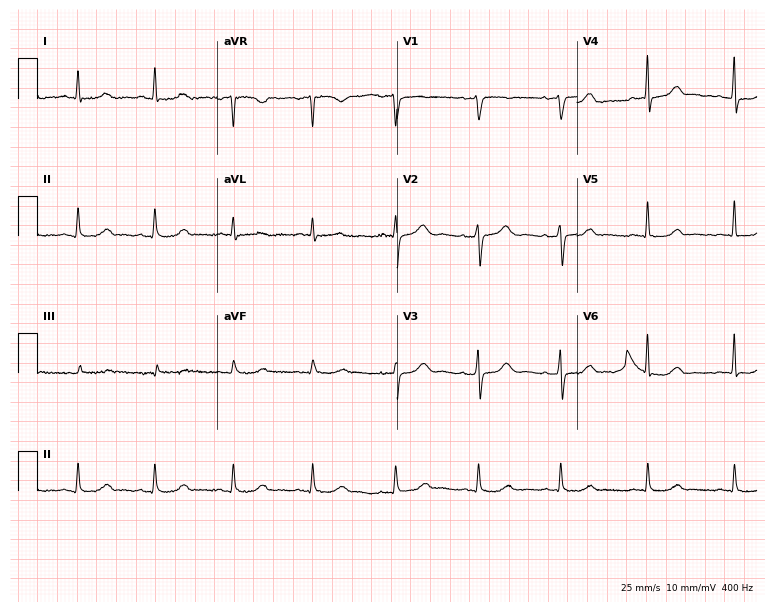
12-lead ECG (7.3-second recording at 400 Hz) from a 54-year-old woman. Labelled as a normal ECG.